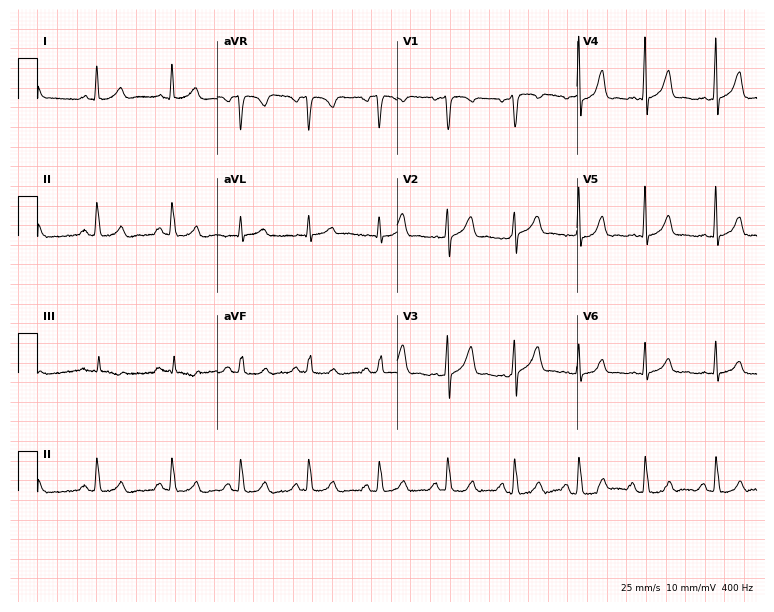
Standard 12-lead ECG recorded from a 35-year-old female patient. Read as a normal ECG.